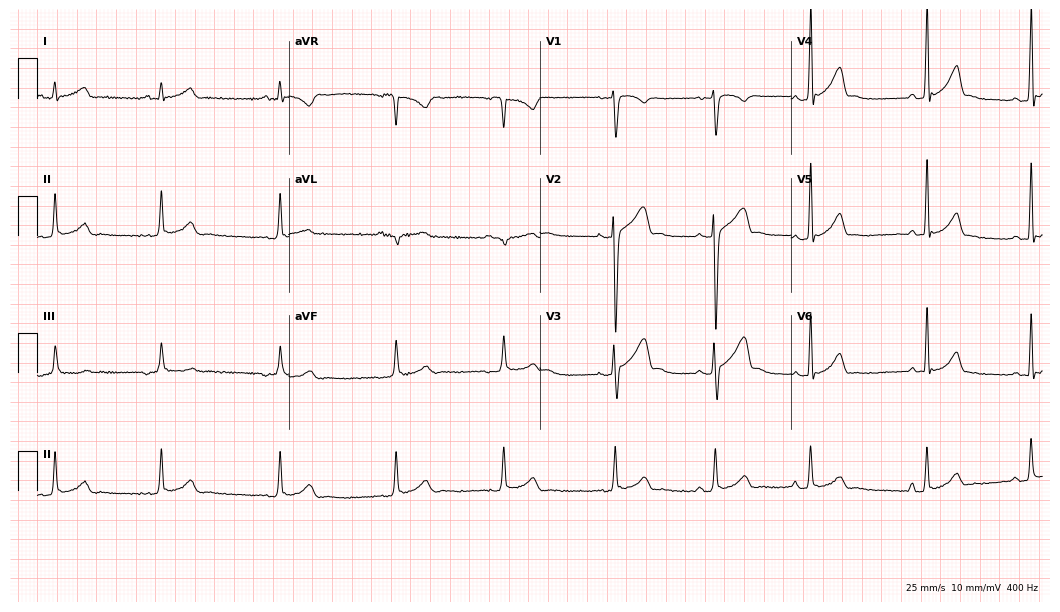
Electrocardiogram (10.2-second recording at 400 Hz), a male patient, 27 years old. Of the six screened findings (first-degree AV block, right bundle branch block (RBBB), left bundle branch block (LBBB), sinus bradycardia, atrial fibrillation (AF), sinus tachycardia), none is recorded.